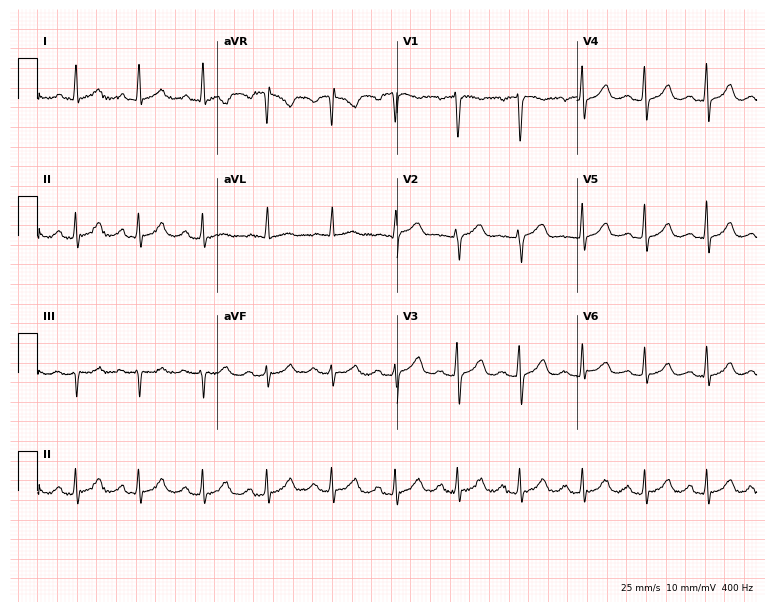
Resting 12-lead electrocardiogram. Patient: a woman, 41 years old. Read as a normal ECG.